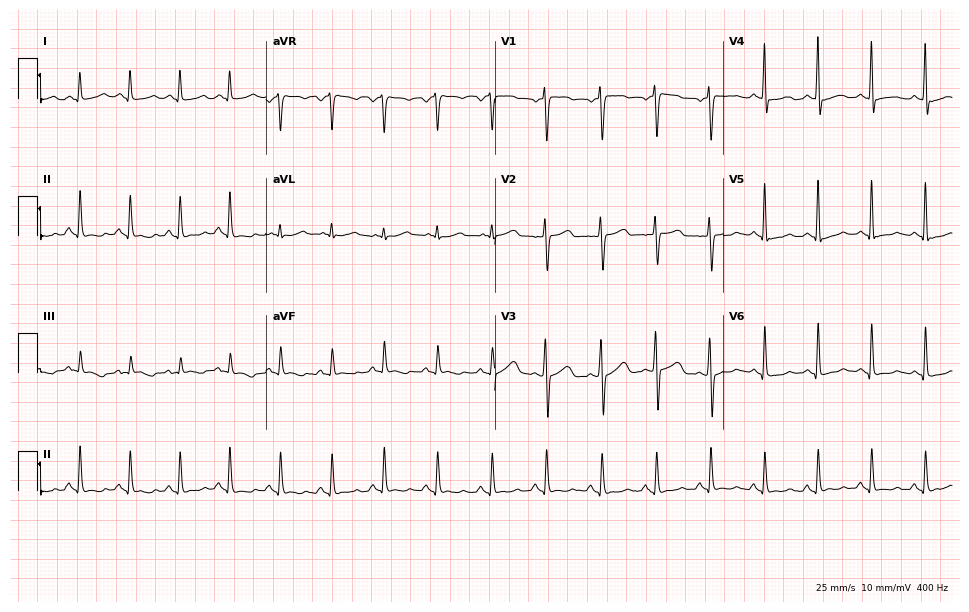
Electrocardiogram, a female patient, 38 years old. Interpretation includes sinus tachycardia (a sinus rate of 100 beats per minute or more).